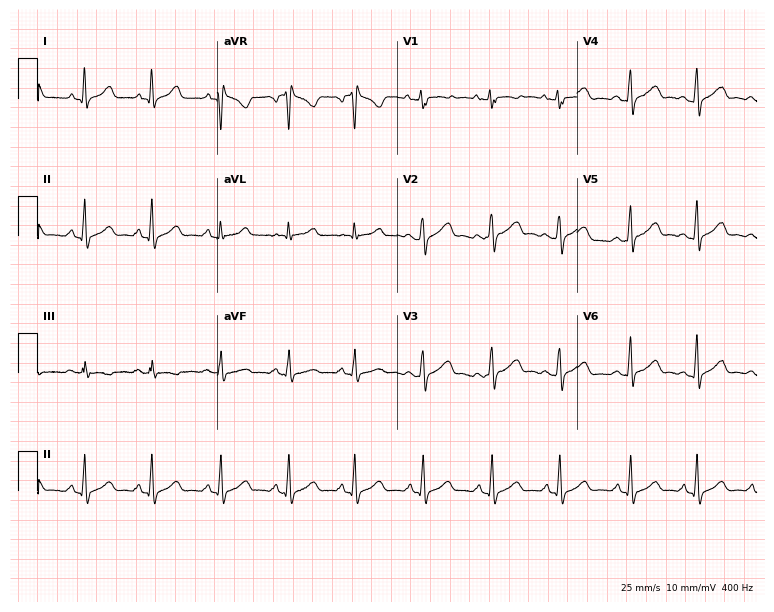
Standard 12-lead ECG recorded from a female, 32 years old. Read as a normal ECG.